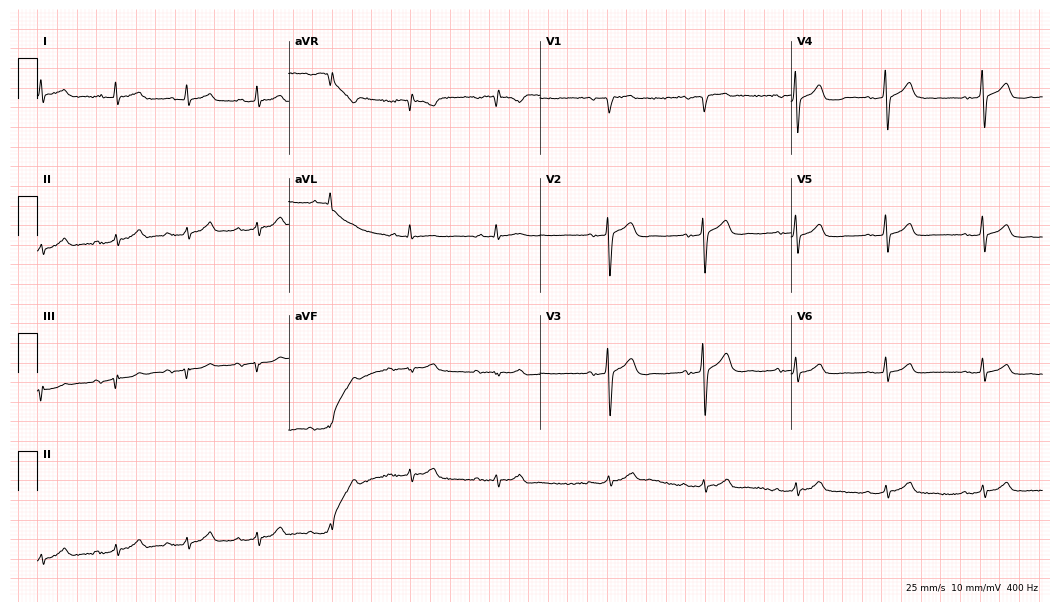
Electrocardiogram, a male patient, 64 years old. Overall reading on record: normal ECG.